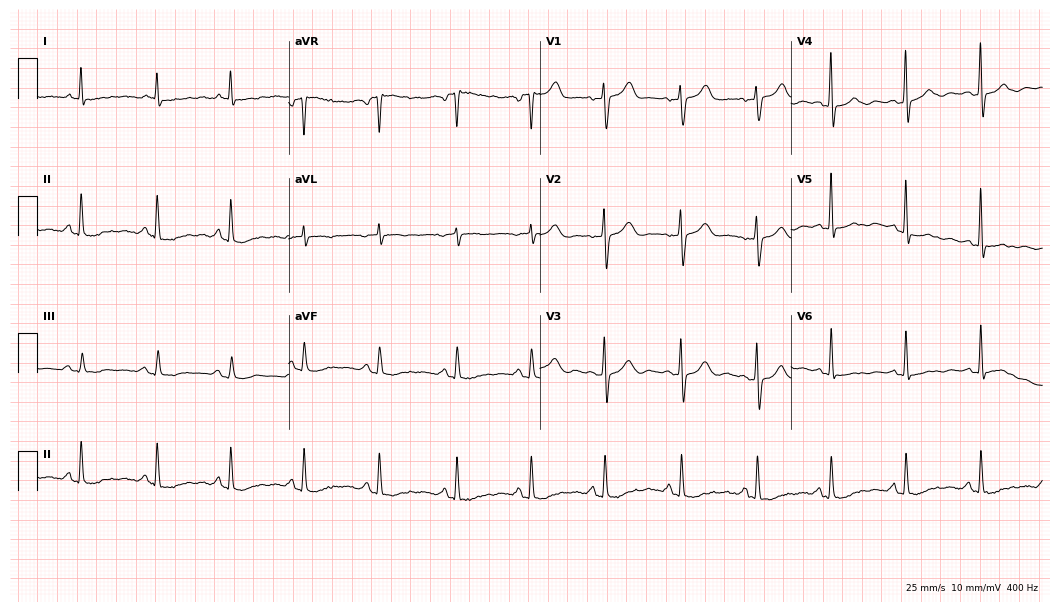
Standard 12-lead ECG recorded from a female, 67 years old. None of these six findings is recorded: first-degree AV block, right bundle branch block, left bundle branch block, sinus bradycardia, atrial fibrillation, sinus tachycardia. Only these six findings were labelled.